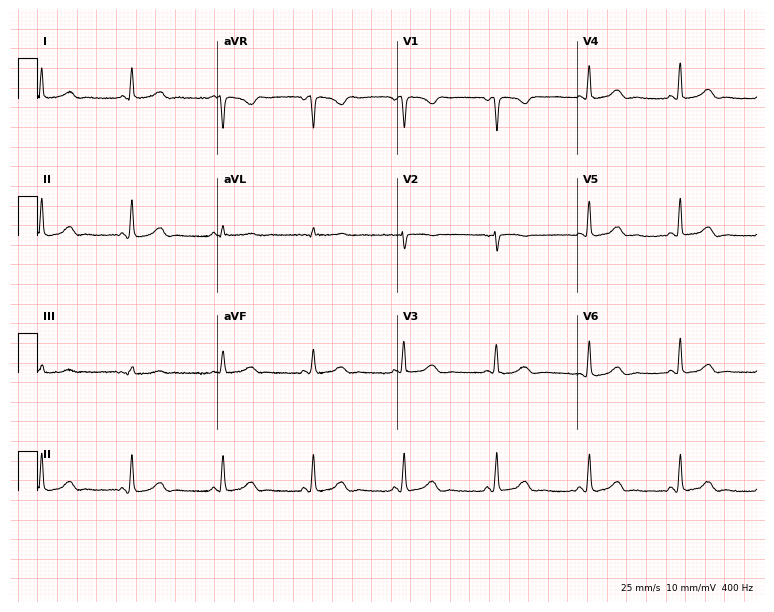
Standard 12-lead ECG recorded from a 61-year-old woman (7.3-second recording at 400 Hz). Read as a normal ECG.